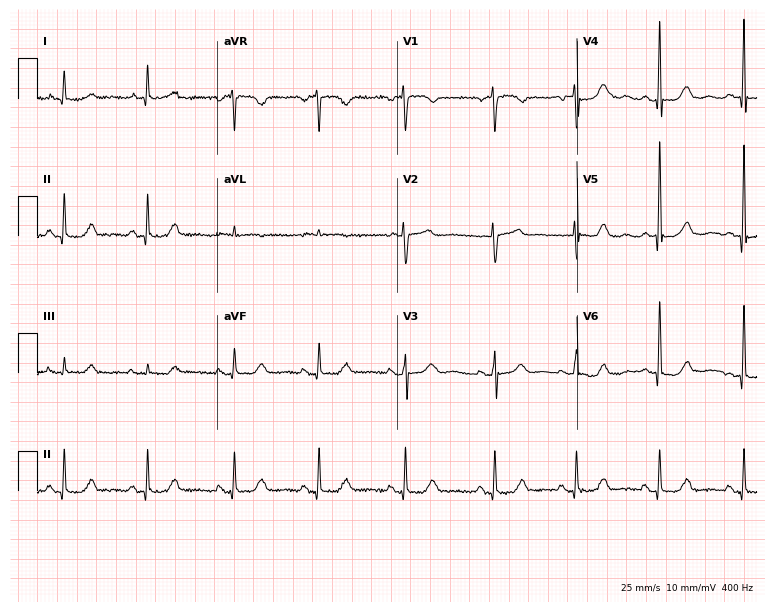
Standard 12-lead ECG recorded from a 66-year-old woman (7.3-second recording at 400 Hz). Read as a normal ECG.